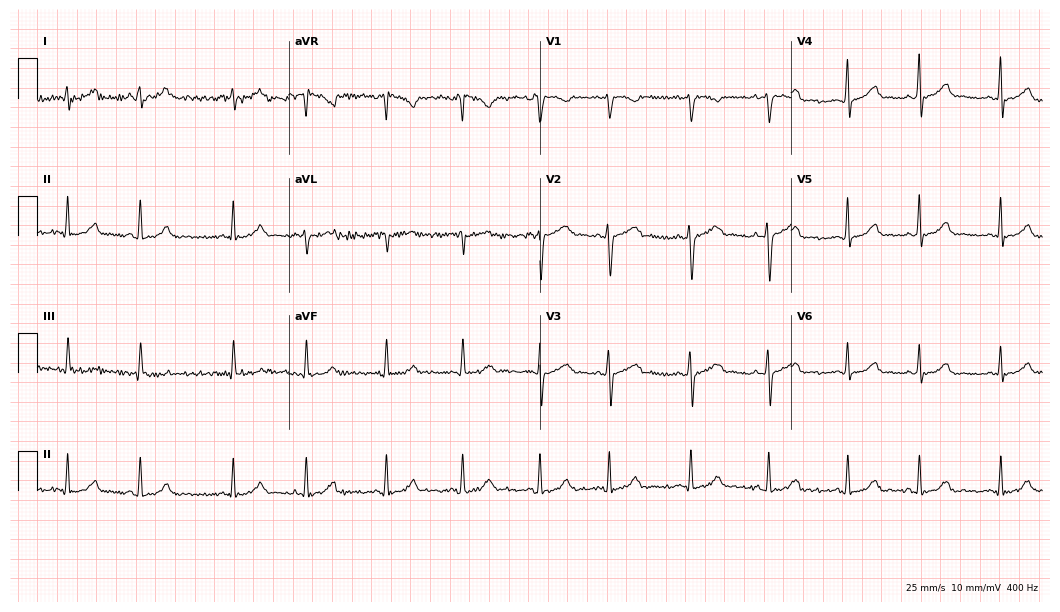
Electrocardiogram (10.2-second recording at 400 Hz), a woman, 22 years old. Overall reading on record: normal ECG.